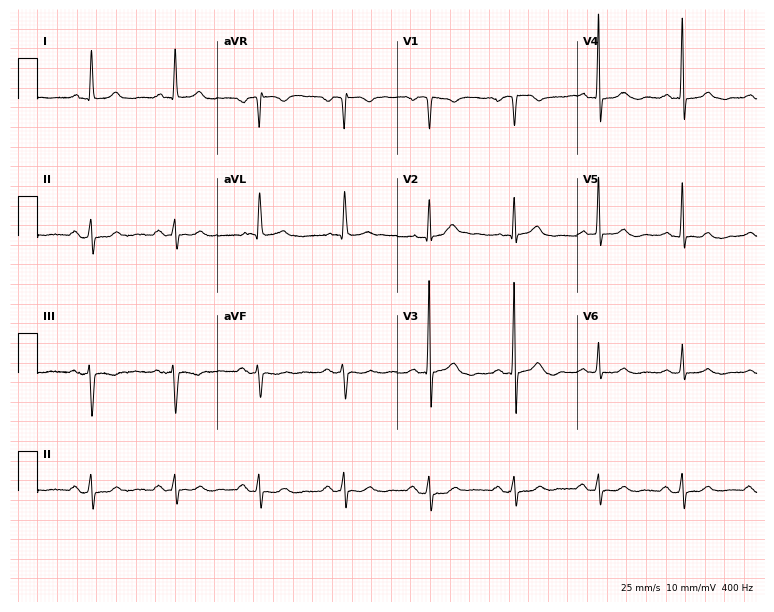
Standard 12-lead ECG recorded from a male, 66 years old (7.3-second recording at 400 Hz). Read as a normal ECG.